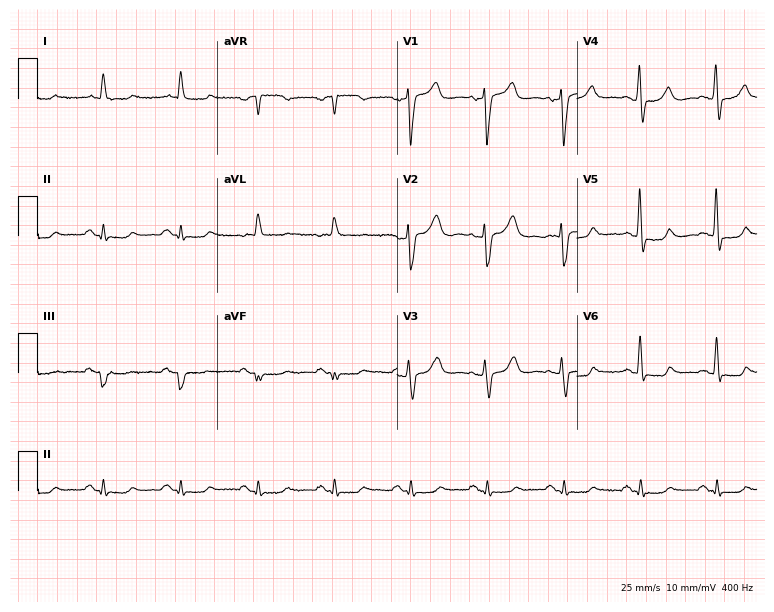
12-lead ECG from a 73-year-old female patient. No first-degree AV block, right bundle branch block (RBBB), left bundle branch block (LBBB), sinus bradycardia, atrial fibrillation (AF) or sinus tachycardia recorded for this tracing. Other findings, if any, are not listed.